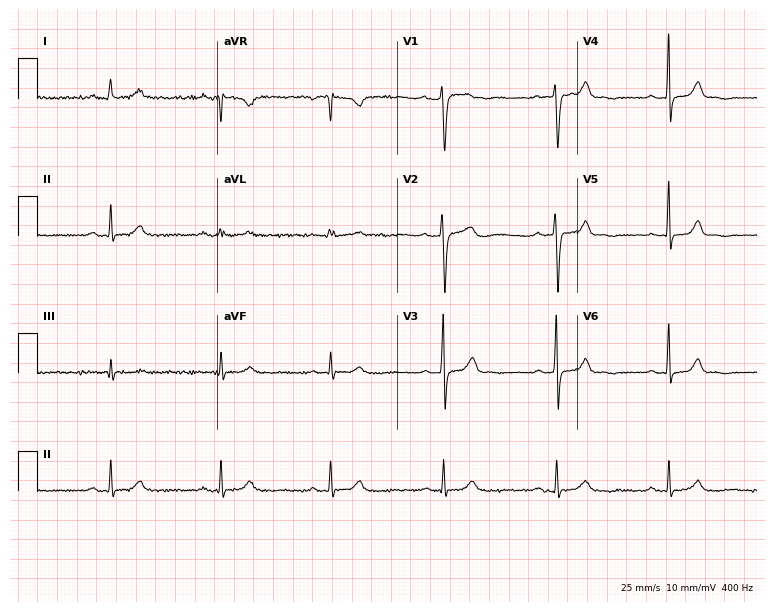
12-lead ECG (7.3-second recording at 400 Hz) from a 63-year-old woman. Labelled as a normal ECG.